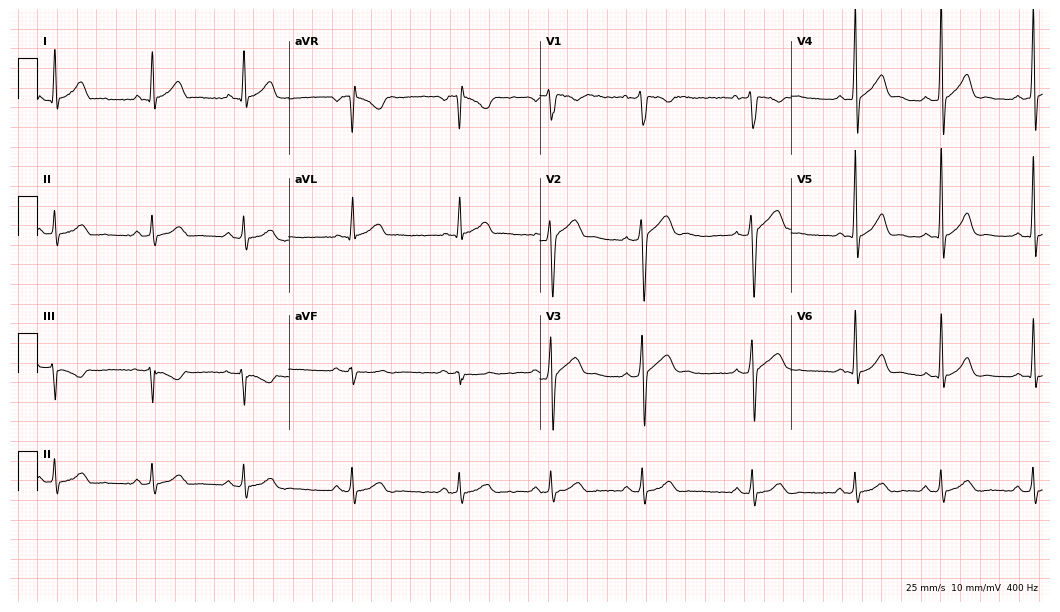
Electrocardiogram, a 23-year-old man. Overall reading on record: normal ECG.